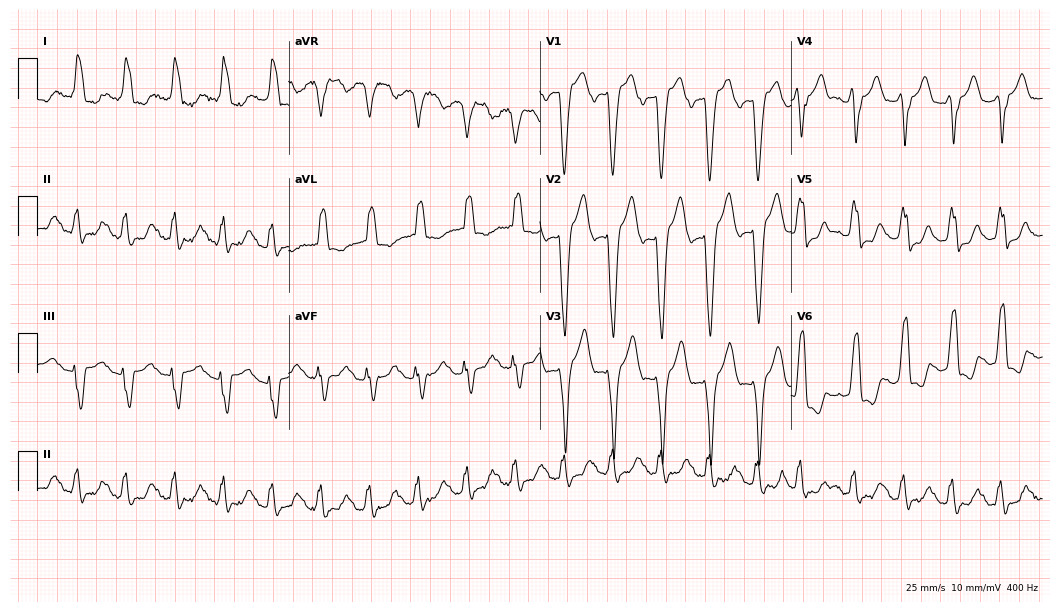
12-lead ECG from a woman, 77 years old. Shows left bundle branch block (LBBB).